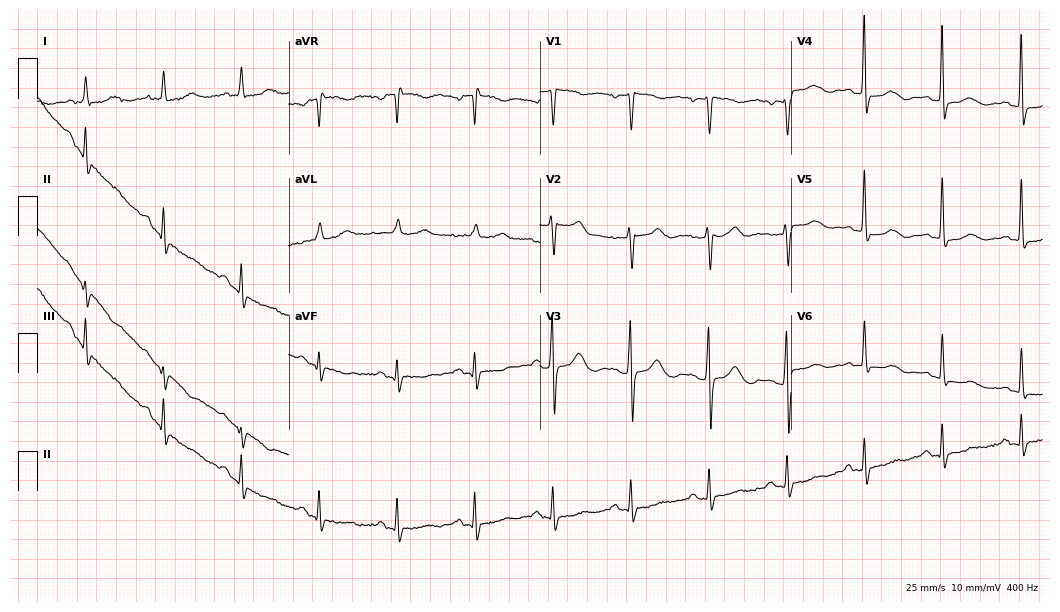
ECG — a 75-year-old woman. Screened for six findings — first-degree AV block, right bundle branch block (RBBB), left bundle branch block (LBBB), sinus bradycardia, atrial fibrillation (AF), sinus tachycardia — none is recorded.